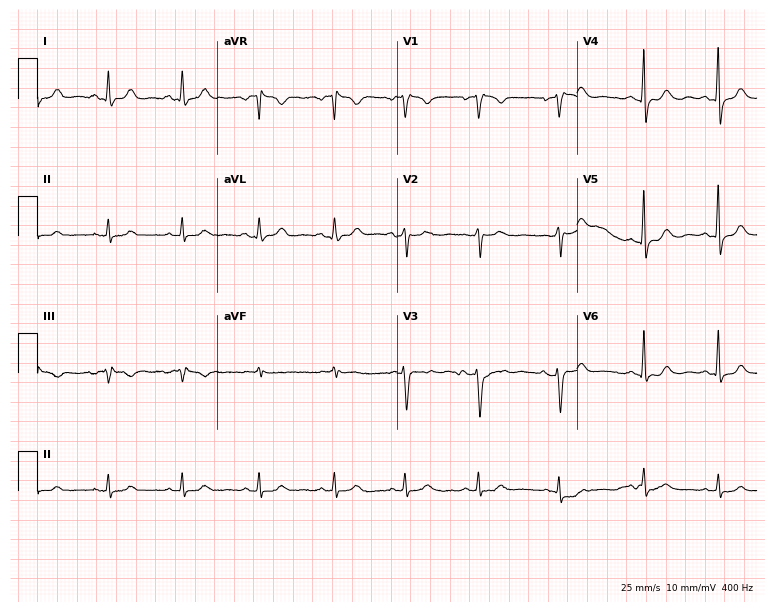
Resting 12-lead electrocardiogram. Patient: a female, 46 years old. None of these six findings is recorded: first-degree AV block, right bundle branch block, left bundle branch block, sinus bradycardia, atrial fibrillation, sinus tachycardia. Other findings, if any, are not listed.